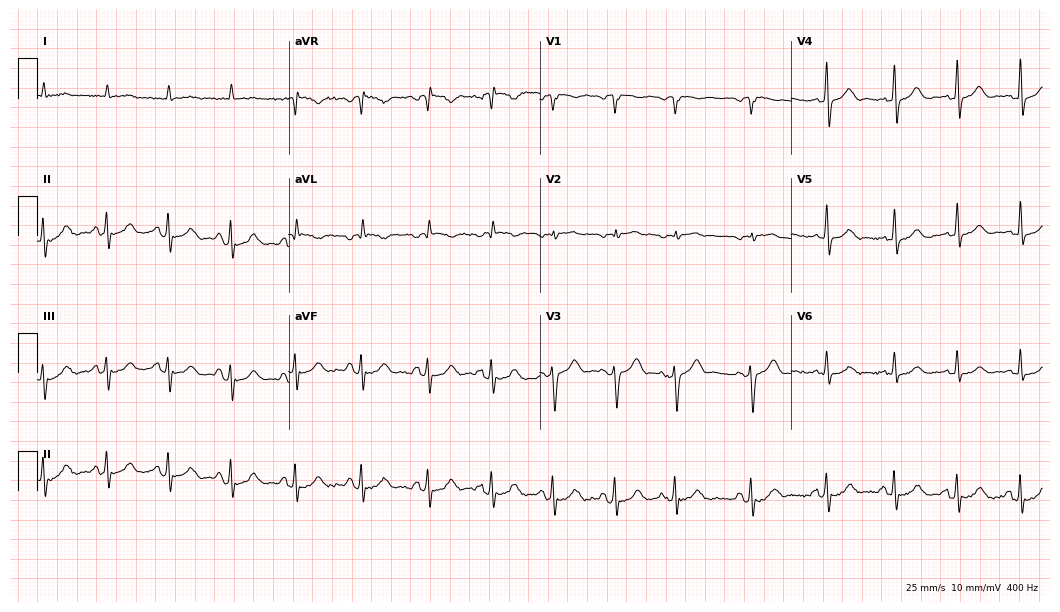
12-lead ECG from a 69-year-old male patient (10.2-second recording at 400 Hz). No first-degree AV block, right bundle branch block, left bundle branch block, sinus bradycardia, atrial fibrillation or sinus tachycardia recorded for this tracing.